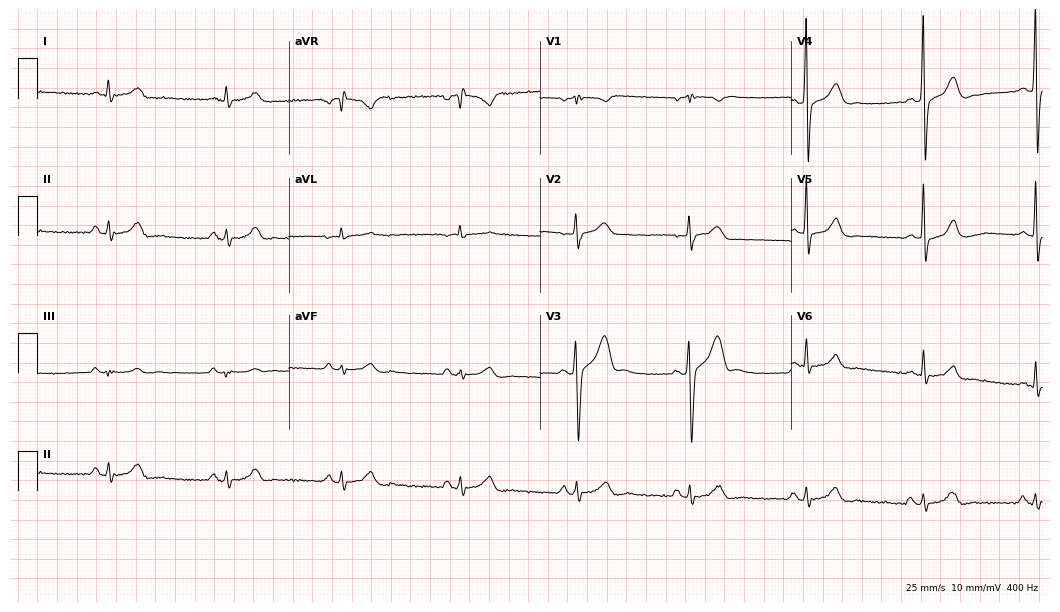
Resting 12-lead electrocardiogram (10.2-second recording at 400 Hz). Patient: a 29-year-old man. None of these six findings is recorded: first-degree AV block, right bundle branch block (RBBB), left bundle branch block (LBBB), sinus bradycardia, atrial fibrillation (AF), sinus tachycardia.